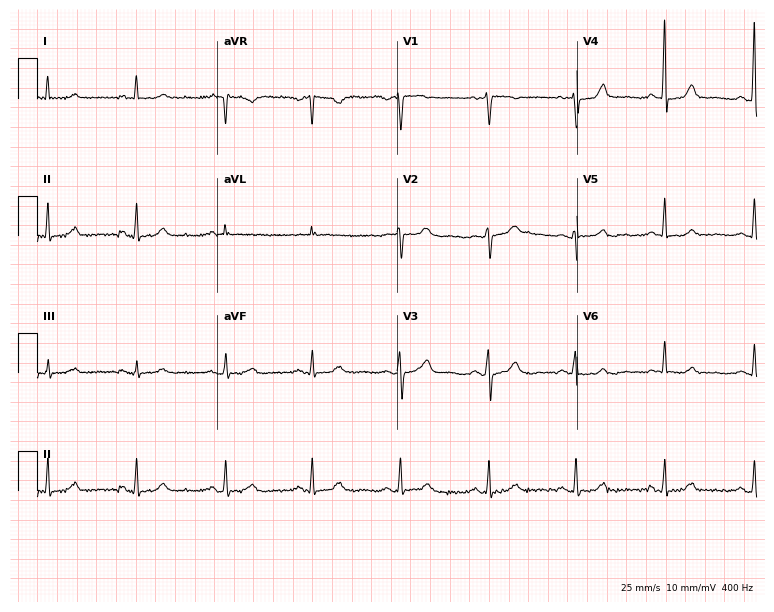
Standard 12-lead ECG recorded from a female patient, 71 years old (7.3-second recording at 400 Hz). None of these six findings is recorded: first-degree AV block, right bundle branch block, left bundle branch block, sinus bradycardia, atrial fibrillation, sinus tachycardia.